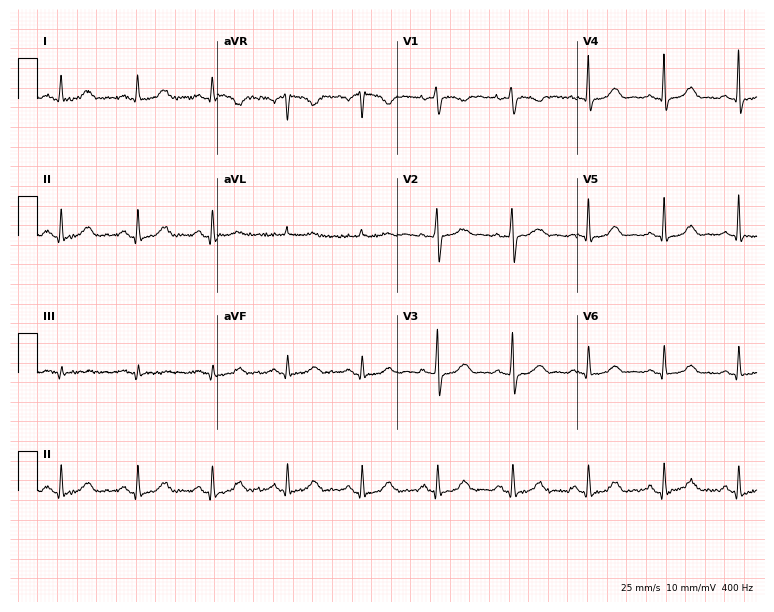
Standard 12-lead ECG recorded from a 41-year-old female. Read as a normal ECG.